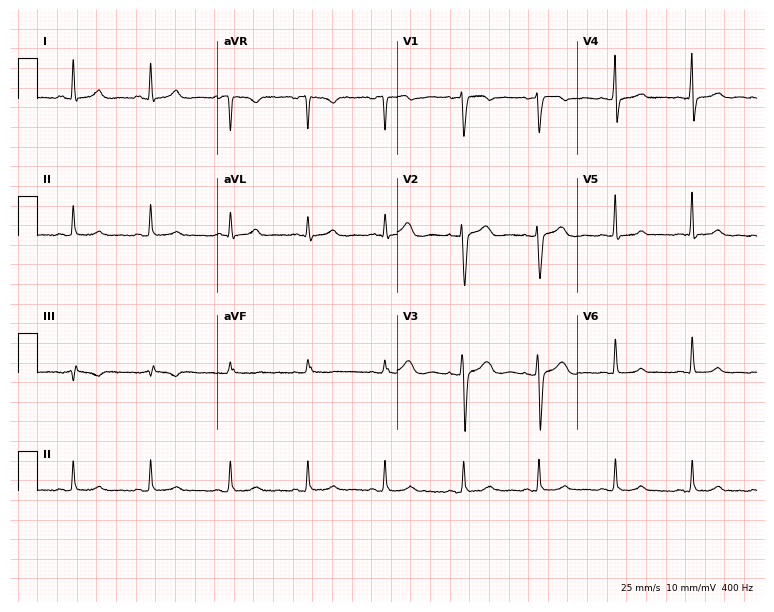
12-lead ECG from a 38-year-old woman (7.3-second recording at 400 Hz). Recorded interpretation: within normal limits.